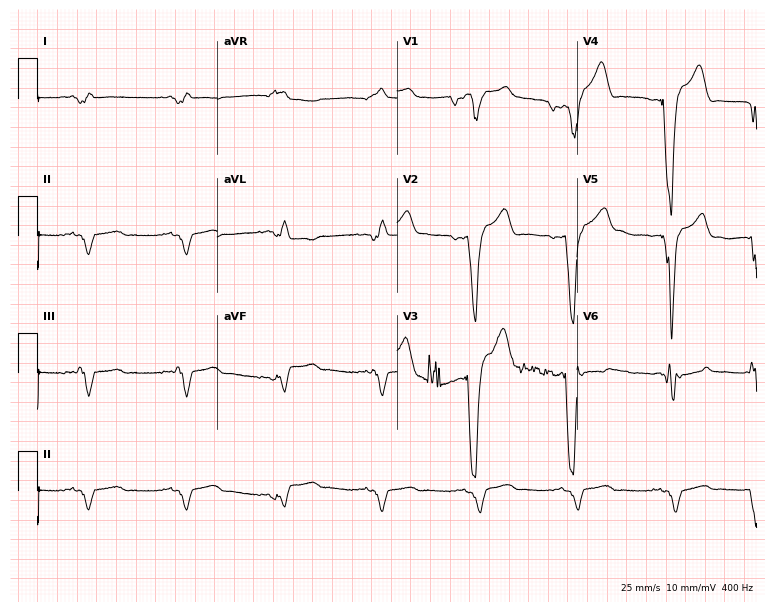
12-lead ECG from a male patient, 41 years old (7.3-second recording at 400 Hz). No first-degree AV block, right bundle branch block, left bundle branch block, sinus bradycardia, atrial fibrillation or sinus tachycardia recorded for this tracing.